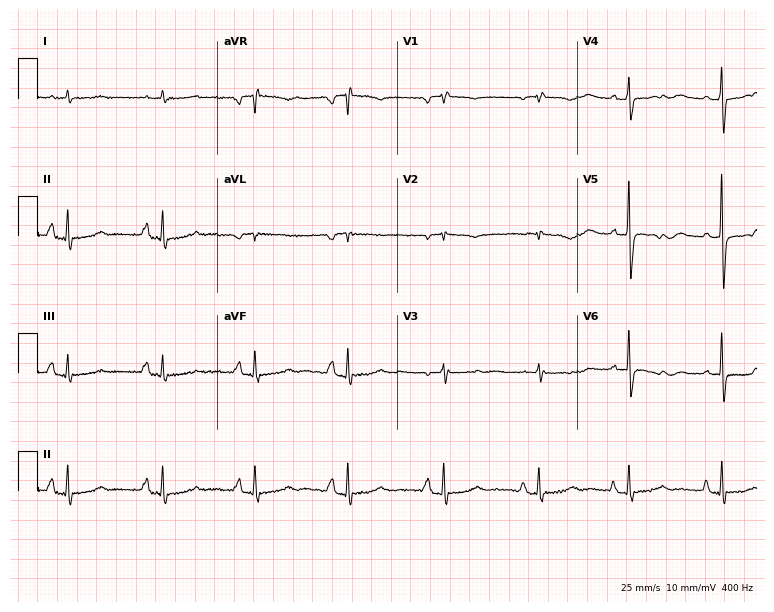
ECG (7.3-second recording at 400 Hz) — an 83-year-old female. Screened for six findings — first-degree AV block, right bundle branch block (RBBB), left bundle branch block (LBBB), sinus bradycardia, atrial fibrillation (AF), sinus tachycardia — none is recorded. Only these six findings were labelled.